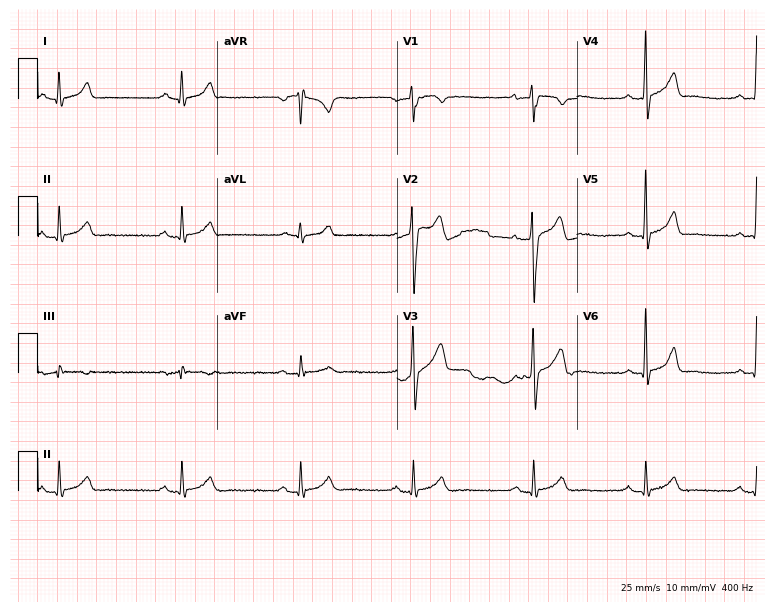
Electrocardiogram (7.3-second recording at 400 Hz), a 26-year-old man. Interpretation includes sinus bradycardia (a sinus rate of 50 beats per minute or less).